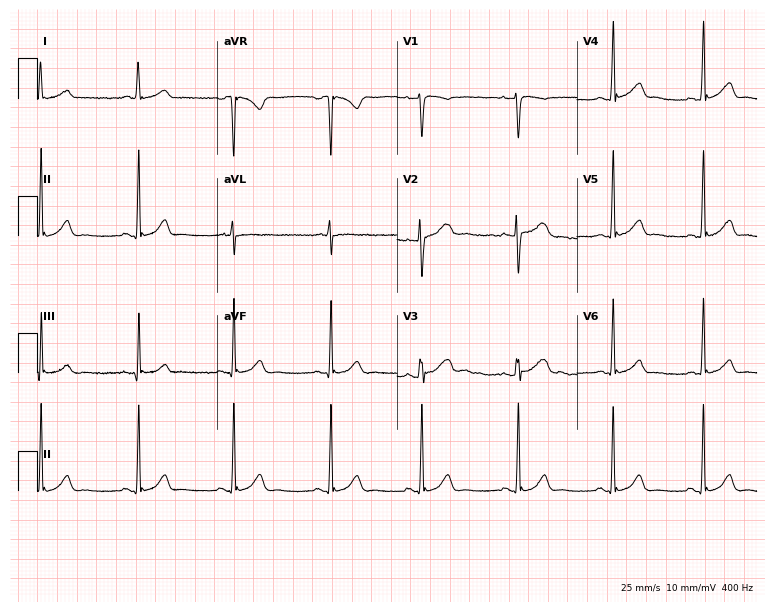
Resting 12-lead electrocardiogram (7.3-second recording at 400 Hz). Patient: a 25-year-old female. None of these six findings is recorded: first-degree AV block, right bundle branch block, left bundle branch block, sinus bradycardia, atrial fibrillation, sinus tachycardia. Only these six findings were labelled.